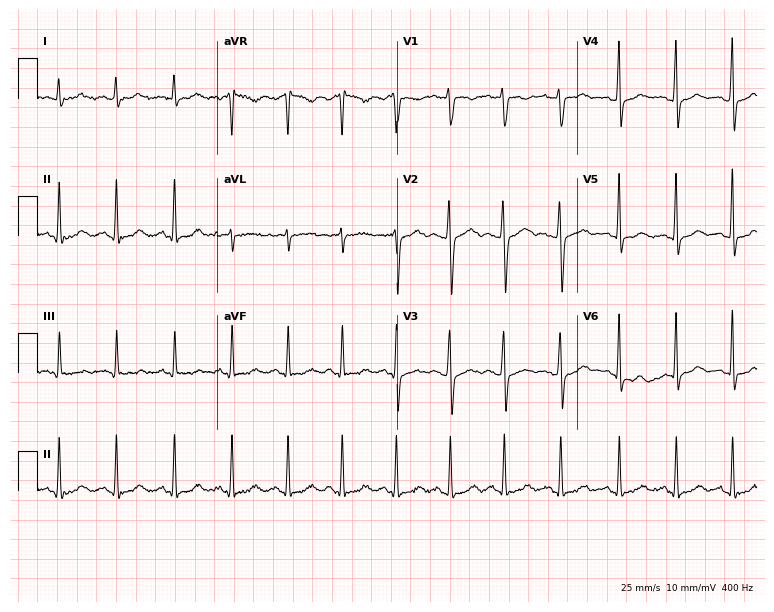
12-lead ECG from a 30-year-old female patient. Shows sinus tachycardia (a sinus rate of 100 beats per minute or more).